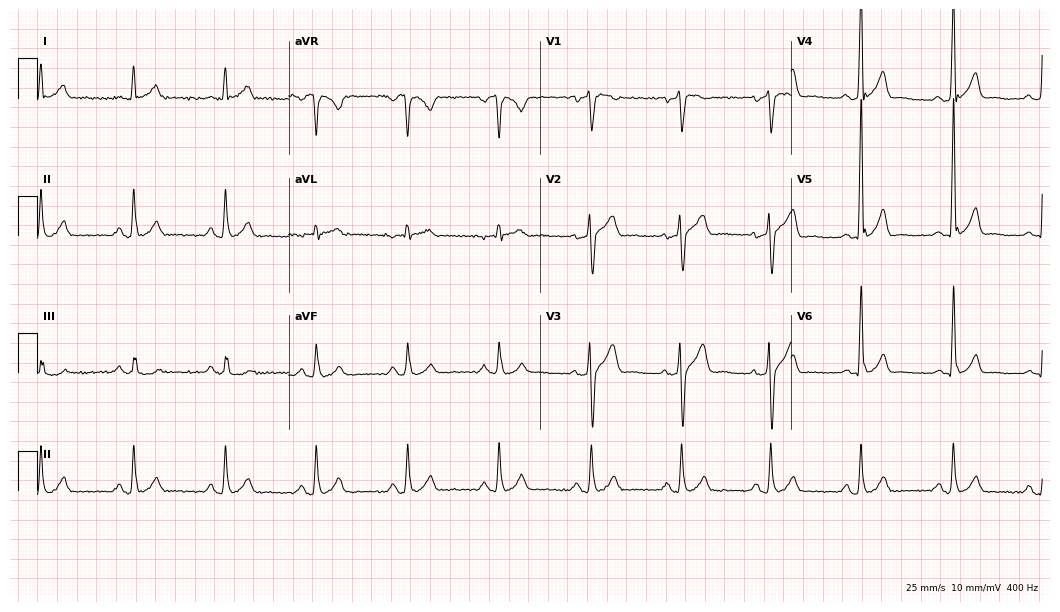
Resting 12-lead electrocardiogram (10.2-second recording at 400 Hz). Patient: a male, 46 years old. None of these six findings is recorded: first-degree AV block, right bundle branch block (RBBB), left bundle branch block (LBBB), sinus bradycardia, atrial fibrillation (AF), sinus tachycardia. Only these six findings were labelled.